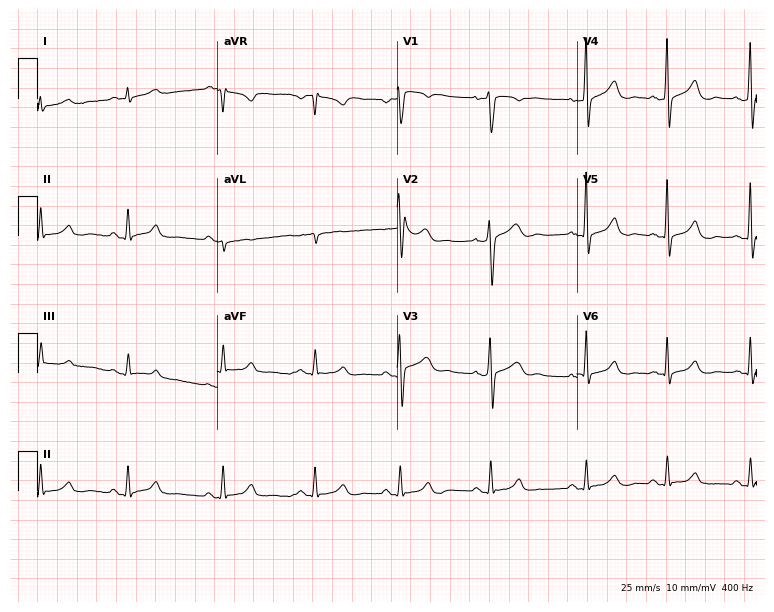
12-lead ECG (7.3-second recording at 400 Hz) from a 41-year-old man. Screened for six findings — first-degree AV block, right bundle branch block, left bundle branch block, sinus bradycardia, atrial fibrillation, sinus tachycardia — none is recorded. Only these six findings were labelled.